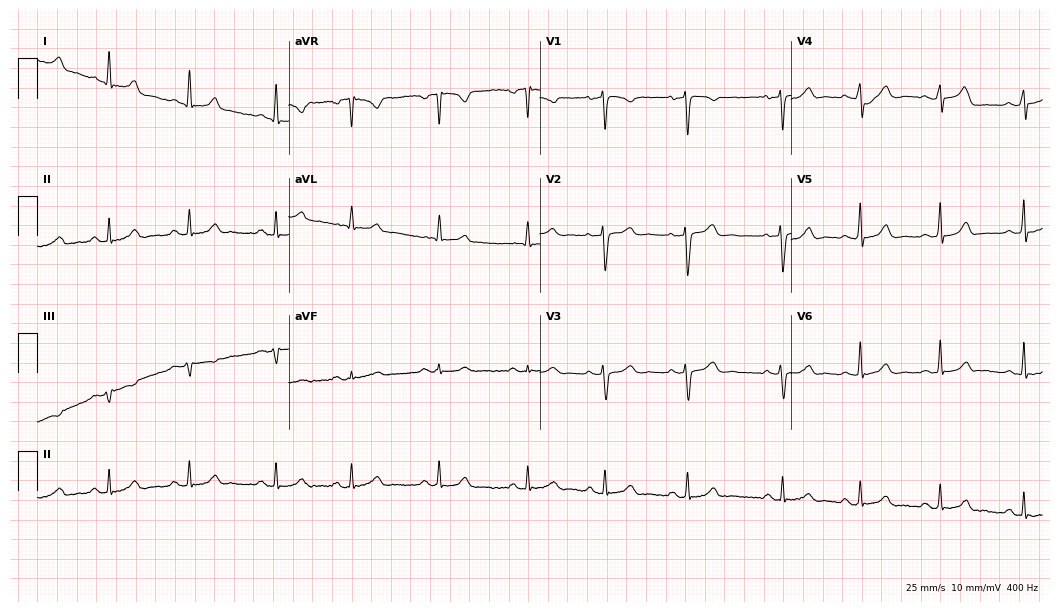
Resting 12-lead electrocardiogram (10.2-second recording at 400 Hz). Patient: a 43-year-old woman. None of these six findings is recorded: first-degree AV block, right bundle branch block, left bundle branch block, sinus bradycardia, atrial fibrillation, sinus tachycardia. Only these six findings were labelled.